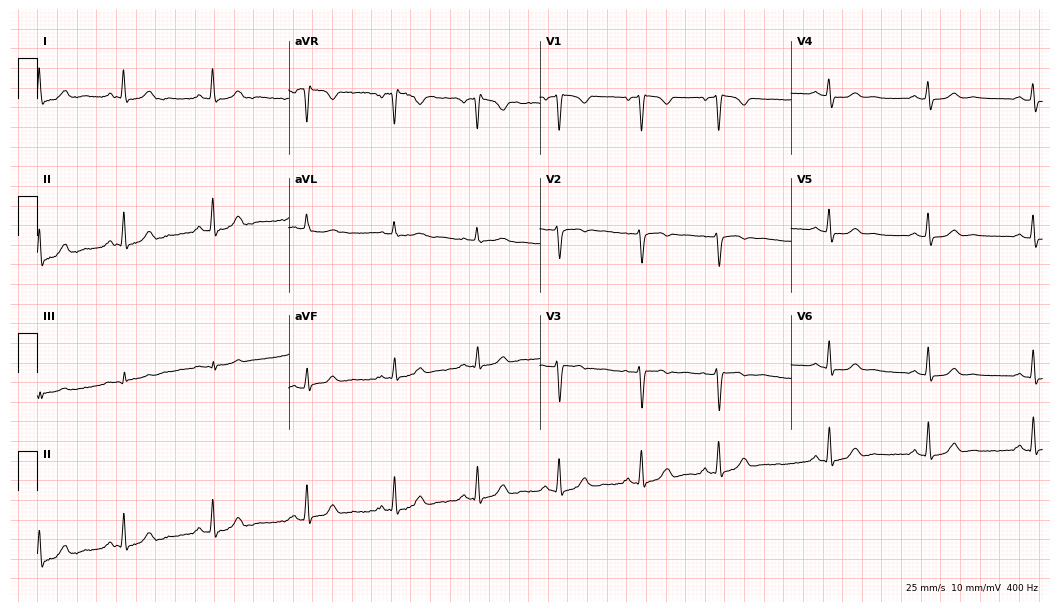
12-lead ECG from a female patient, 35 years old. No first-degree AV block, right bundle branch block, left bundle branch block, sinus bradycardia, atrial fibrillation or sinus tachycardia recorded for this tracing. Only these six findings were labelled.